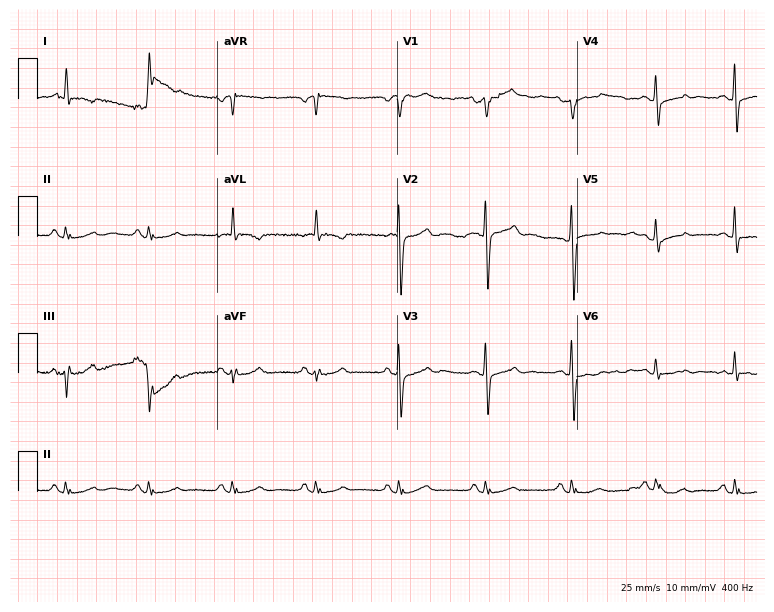
Resting 12-lead electrocardiogram. Patient: a male, 72 years old. Read as a normal ECG.